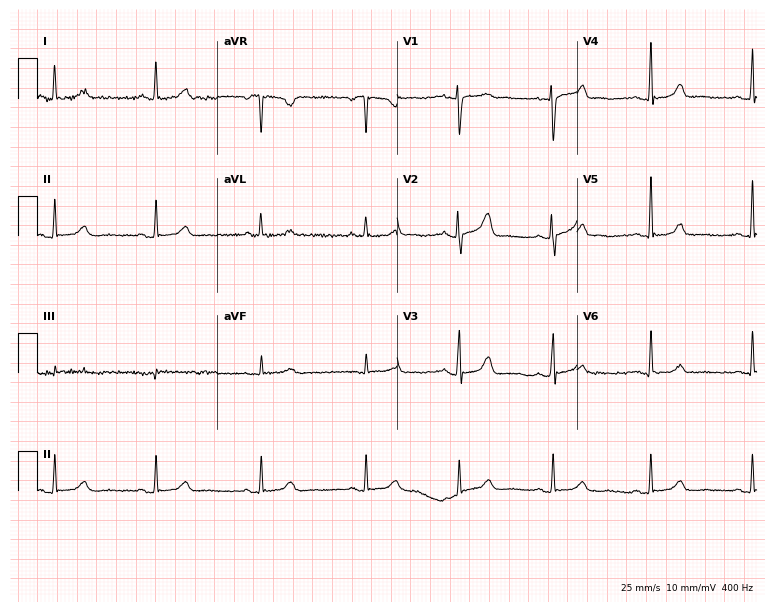
Resting 12-lead electrocardiogram. Patient: a female, 39 years old. None of these six findings is recorded: first-degree AV block, right bundle branch block, left bundle branch block, sinus bradycardia, atrial fibrillation, sinus tachycardia.